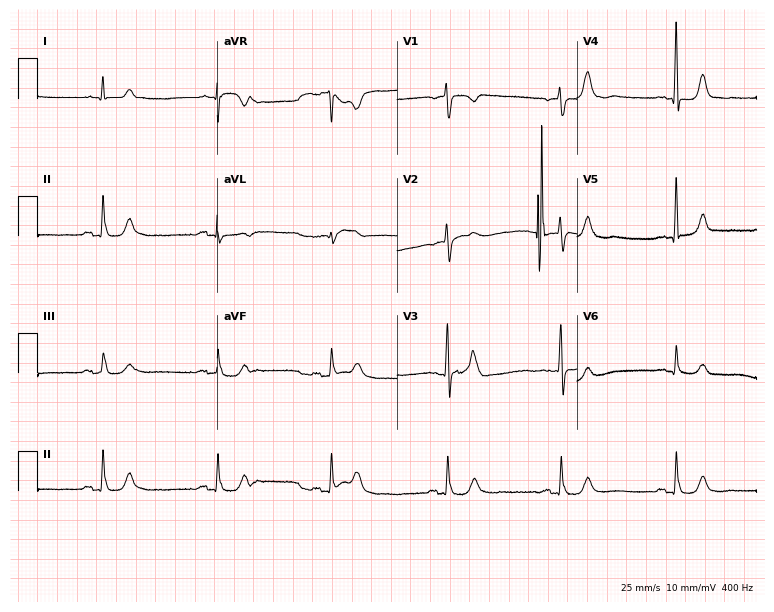
Electrocardiogram (7.3-second recording at 400 Hz), a male patient, 73 years old. Of the six screened findings (first-degree AV block, right bundle branch block, left bundle branch block, sinus bradycardia, atrial fibrillation, sinus tachycardia), none is recorded.